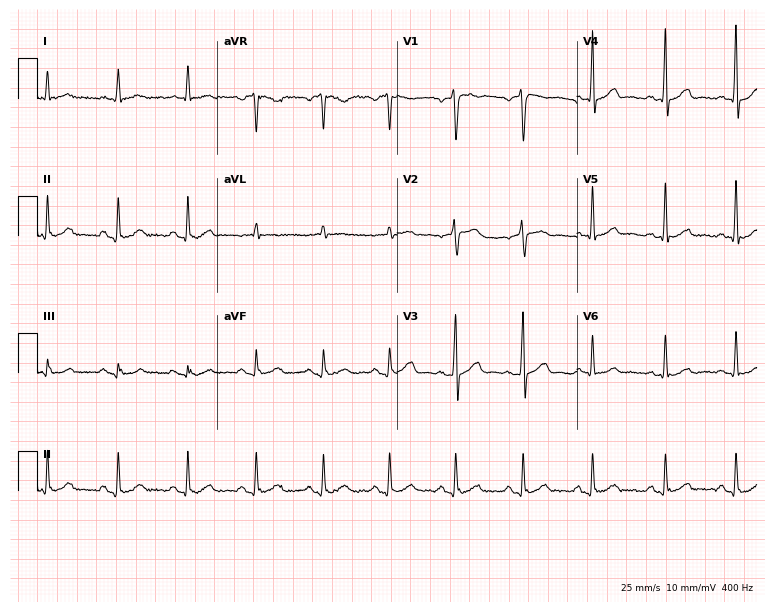
ECG — a man, 40 years old. Labelled as a normal ECG.